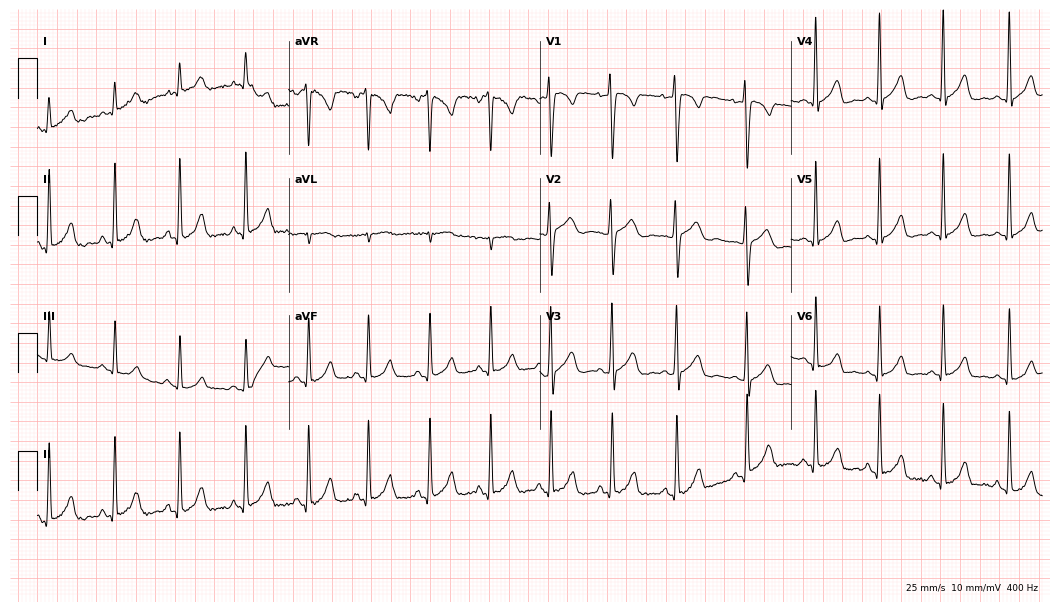
Electrocardiogram, a 28-year-old woman. Overall reading on record: normal ECG.